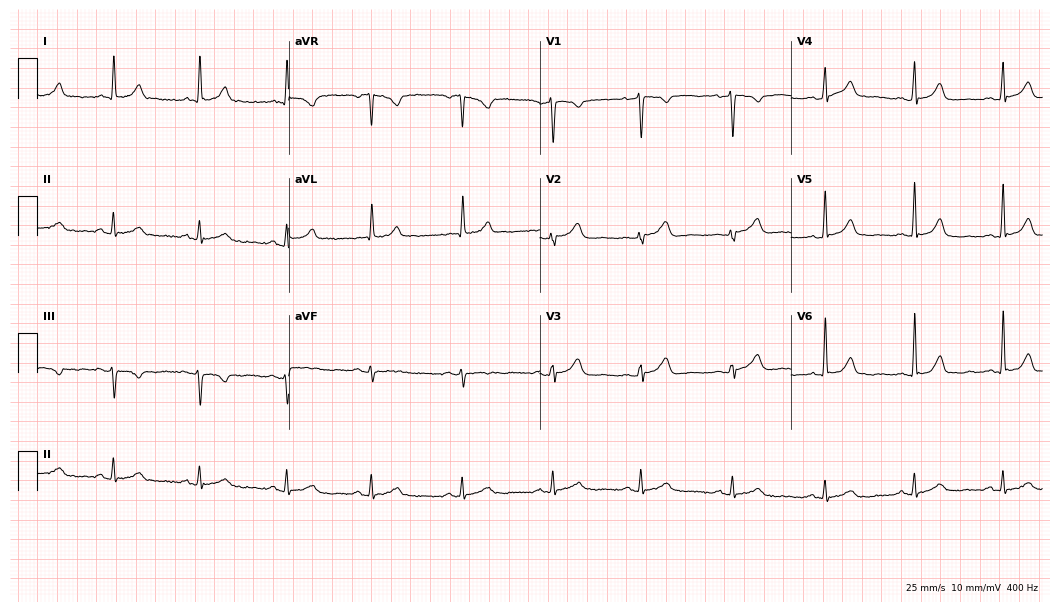
Resting 12-lead electrocardiogram. Patient: a female, 70 years old. Read as a normal ECG.